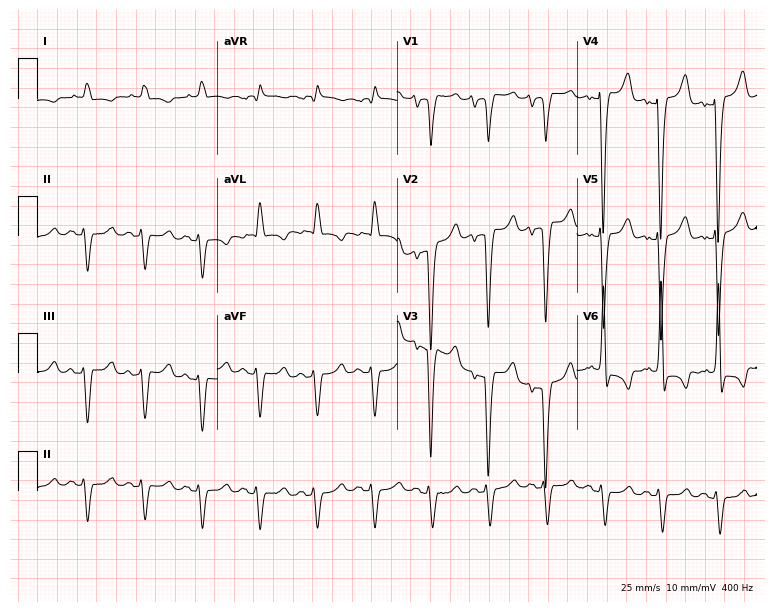
12-lead ECG from a male patient, 84 years old. Screened for six findings — first-degree AV block, right bundle branch block, left bundle branch block, sinus bradycardia, atrial fibrillation, sinus tachycardia — none is recorded.